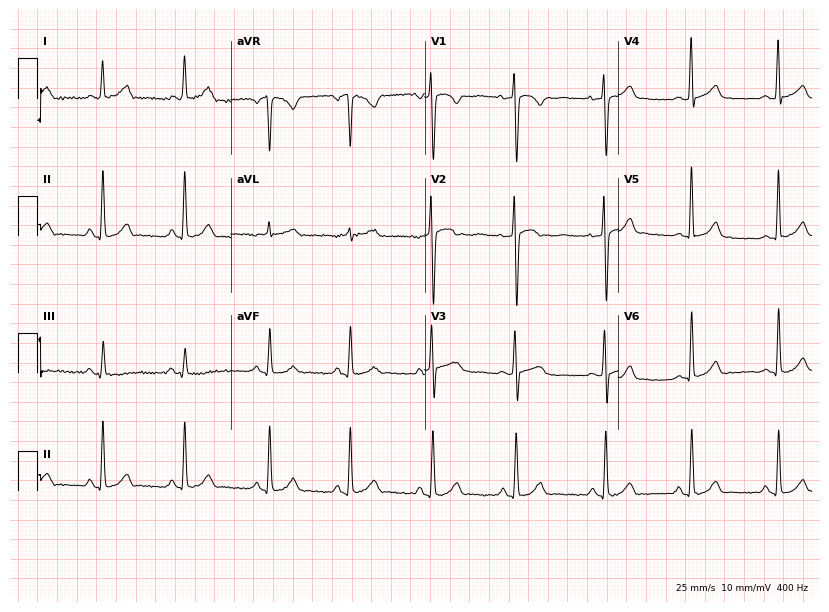
Electrocardiogram (7.9-second recording at 400 Hz), a female, 32 years old. Of the six screened findings (first-degree AV block, right bundle branch block (RBBB), left bundle branch block (LBBB), sinus bradycardia, atrial fibrillation (AF), sinus tachycardia), none is recorded. Other findings, if any, are not listed.